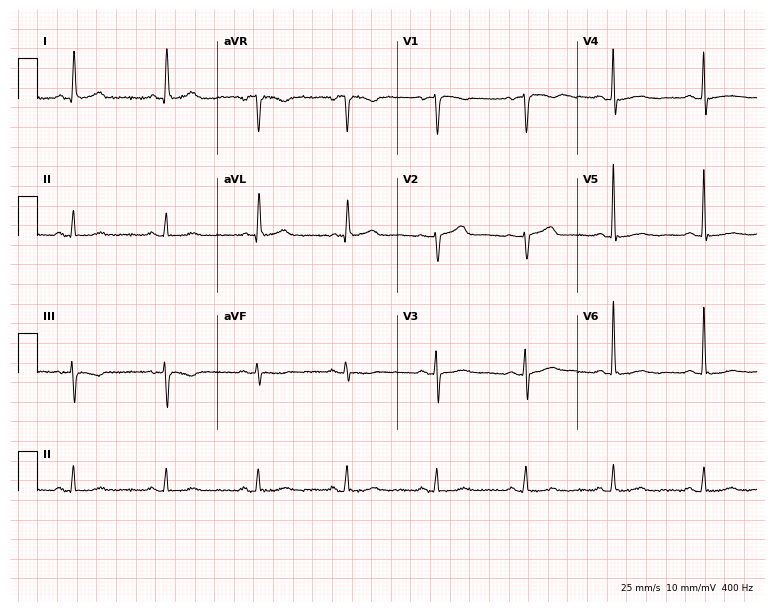
ECG (7.3-second recording at 400 Hz) — a woman, 55 years old. Screened for six findings — first-degree AV block, right bundle branch block, left bundle branch block, sinus bradycardia, atrial fibrillation, sinus tachycardia — none is recorded. Other findings, if any, are not listed.